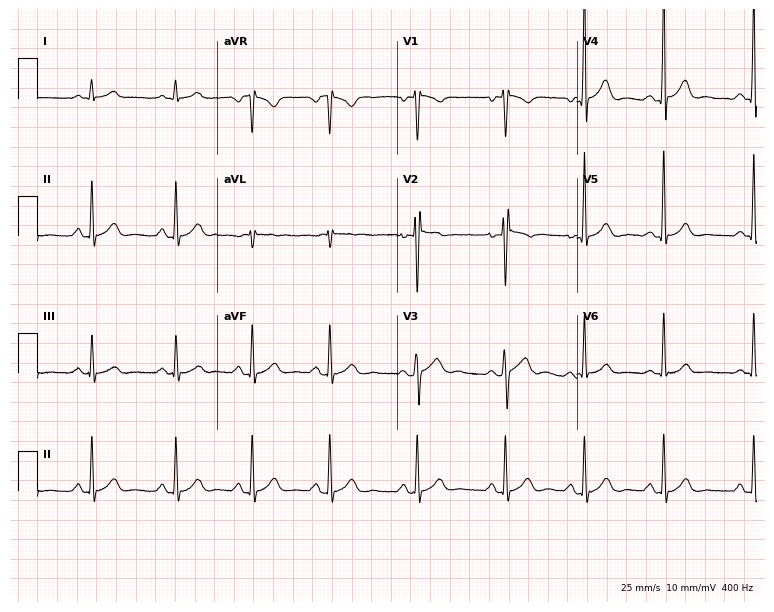
12-lead ECG from a 23-year-old male patient (7.3-second recording at 400 Hz). Recorded interpretation: within normal limits.